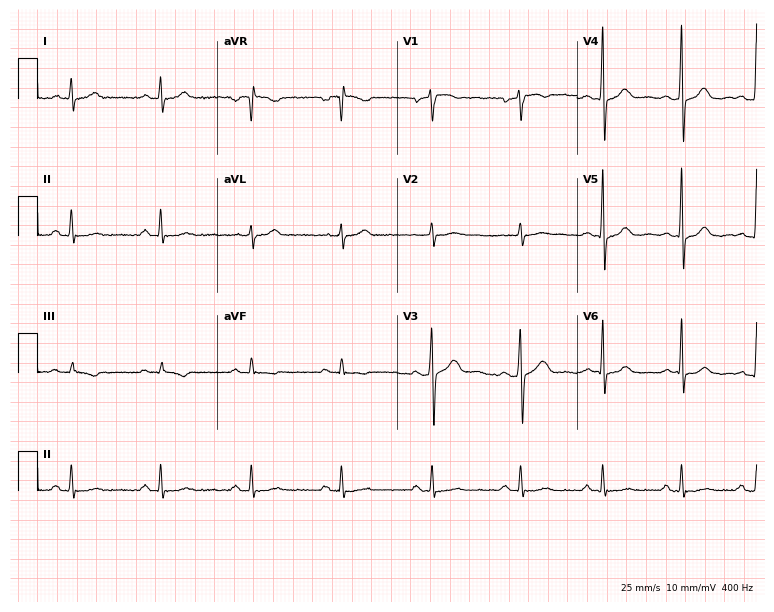
Electrocardiogram (7.3-second recording at 400 Hz), a male patient, 42 years old. Of the six screened findings (first-degree AV block, right bundle branch block, left bundle branch block, sinus bradycardia, atrial fibrillation, sinus tachycardia), none is recorded. Only these six findings were labelled.